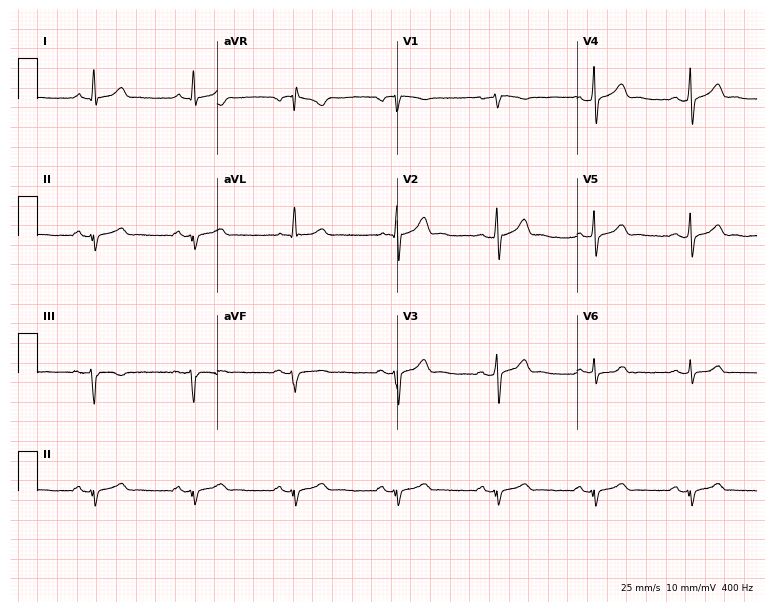
Resting 12-lead electrocardiogram. Patient: a male, 50 years old. None of these six findings is recorded: first-degree AV block, right bundle branch block, left bundle branch block, sinus bradycardia, atrial fibrillation, sinus tachycardia. Only these six findings were labelled.